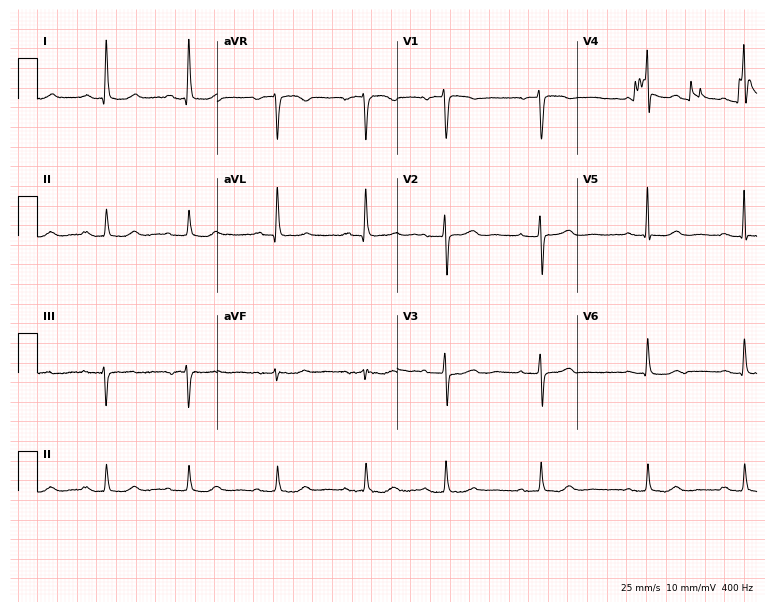
12-lead ECG from a woman, 81 years old (7.3-second recording at 400 Hz). Shows first-degree AV block.